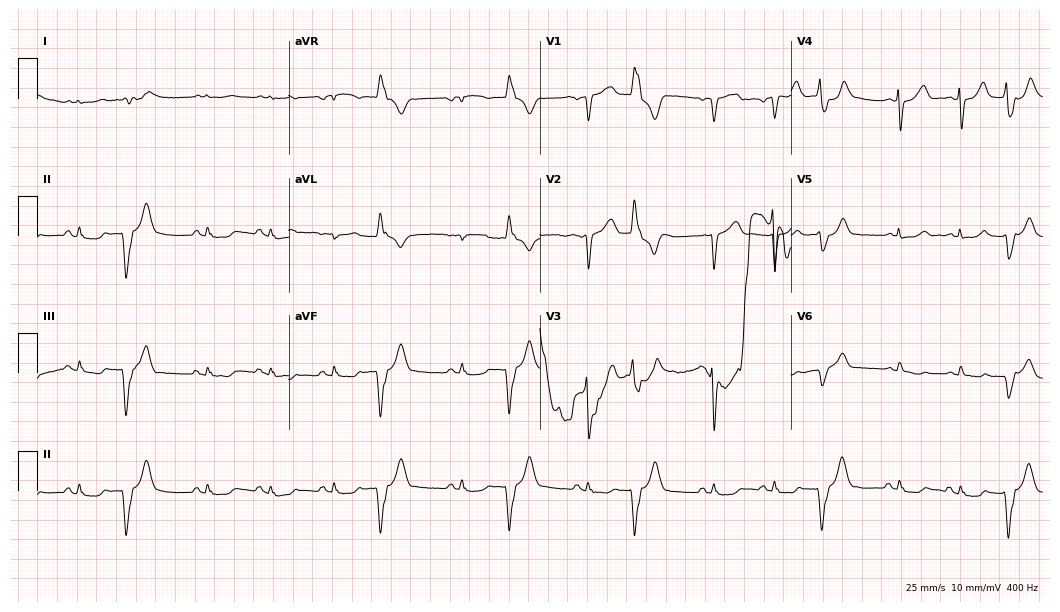
Standard 12-lead ECG recorded from a 74-year-old male. None of these six findings is recorded: first-degree AV block, right bundle branch block, left bundle branch block, sinus bradycardia, atrial fibrillation, sinus tachycardia. Other findings, if any, are not listed.